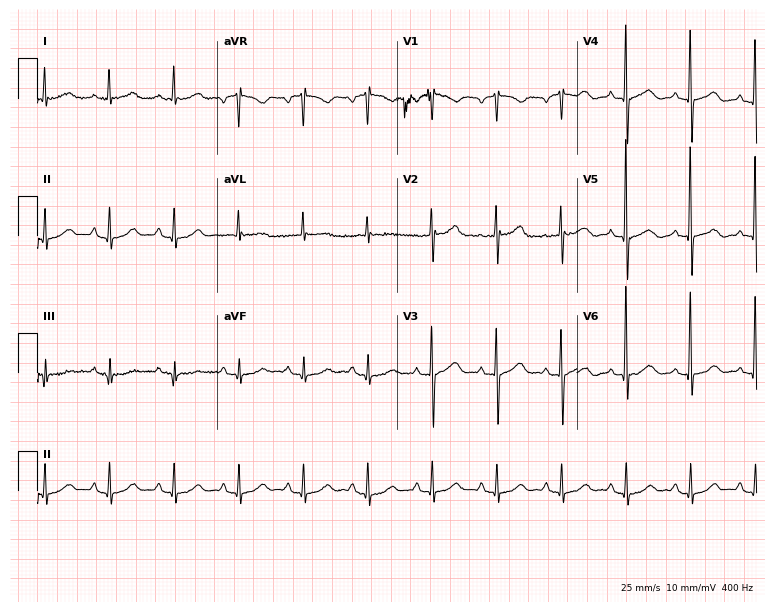
Electrocardiogram, a female, 83 years old. Overall reading on record: normal ECG.